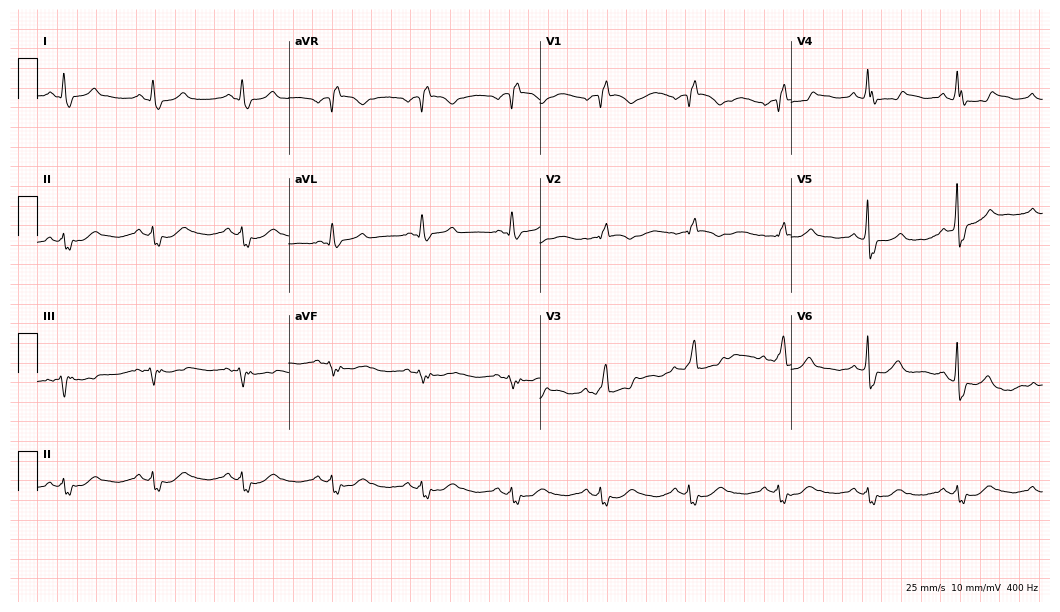
ECG (10.2-second recording at 400 Hz) — a man, 67 years old. Findings include right bundle branch block.